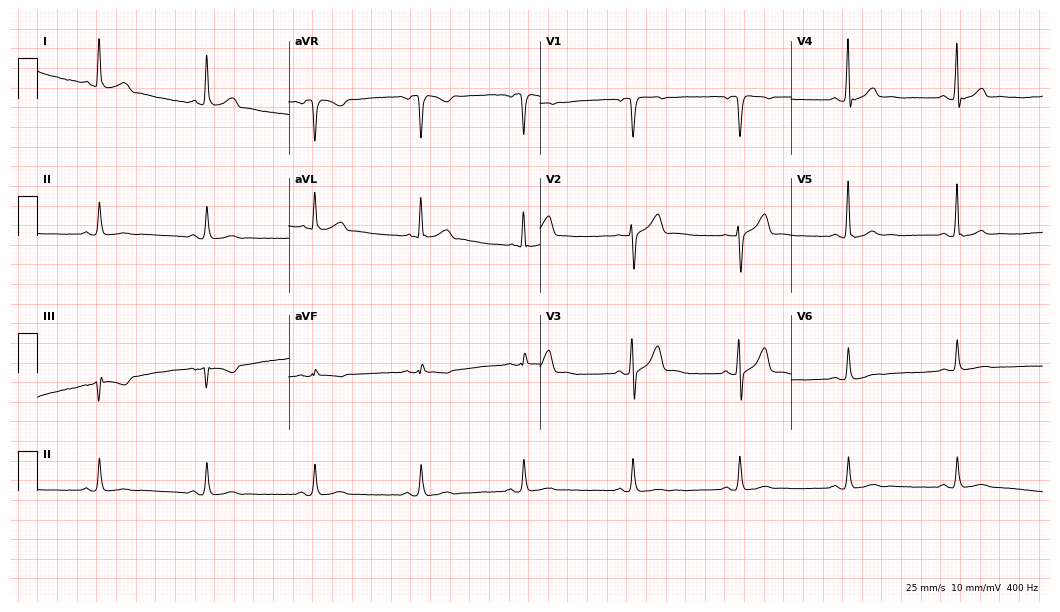
Resting 12-lead electrocardiogram (10.2-second recording at 400 Hz). Patient: a 58-year-old male. None of these six findings is recorded: first-degree AV block, right bundle branch block (RBBB), left bundle branch block (LBBB), sinus bradycardia, atrial fibrillation (AF), sinus tachycardia.